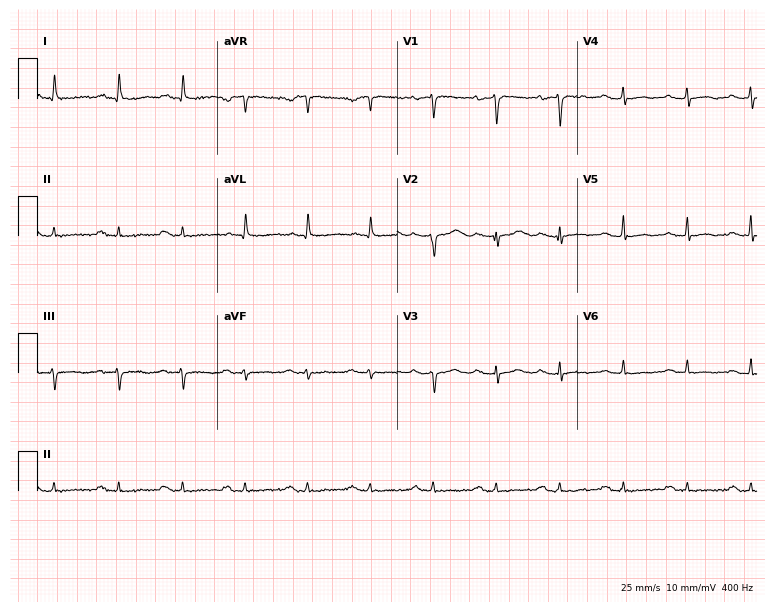
ECG — an 83-year-old female patient. Screened for six findings — first-degree AV block, right bundle branch block (RBBB), left bundle branch block (LBBB), sinus bradycardia, atrial fibrillation (AF), sinus tachycardia — none is recorded. Other findings, if any, are not listed.